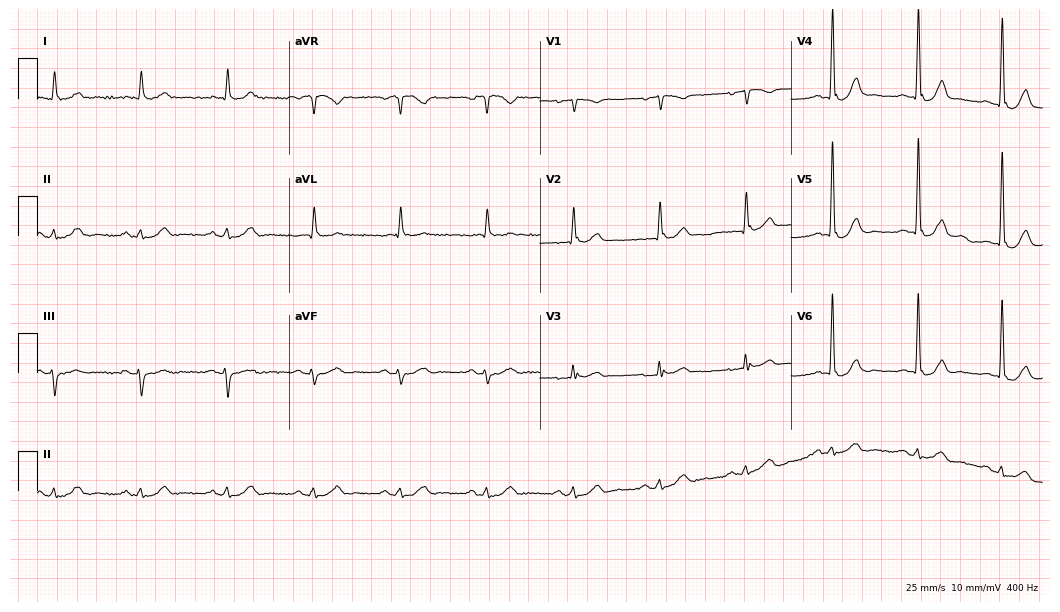
Electrocardiogram (10.2-second recording at 400 Hz), a 69-year-old male. Overall reading on record: normal ECG.